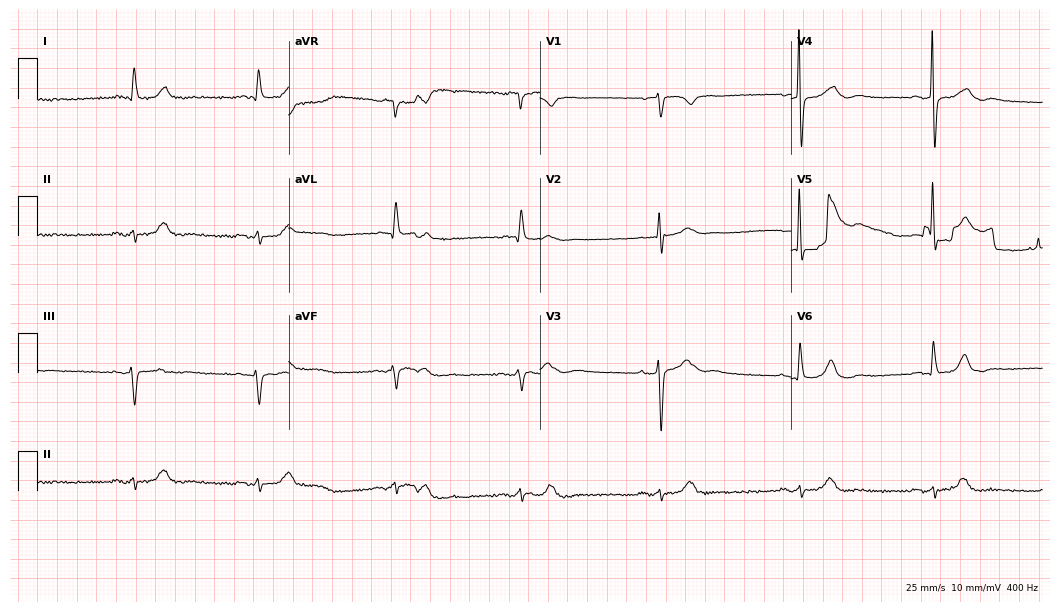
12-lead ECG from a male patient, 77 years old (10.2-second recording at 400 Hz). Shows sinus bradycardia (a sinus rate of 50 beats per minute or less).